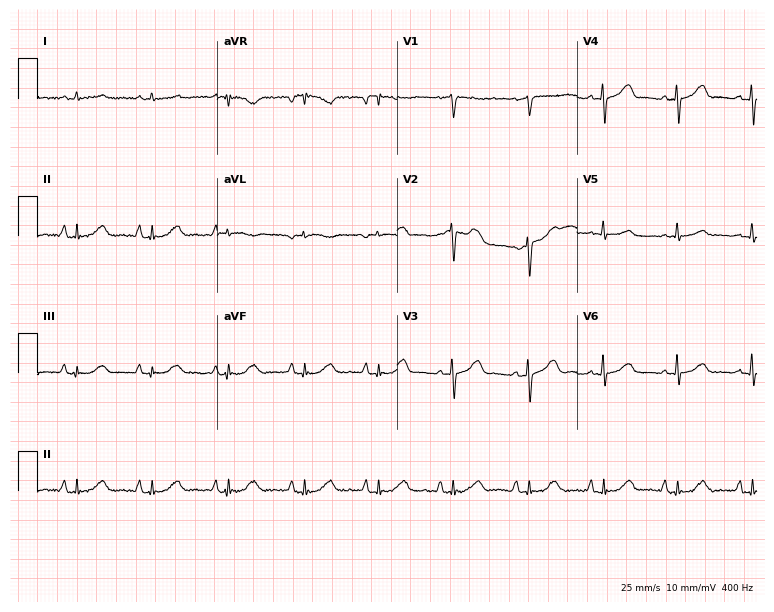
Electrocardiogram, a 75-year-old male patient. Overall reading on record: normal ECG.